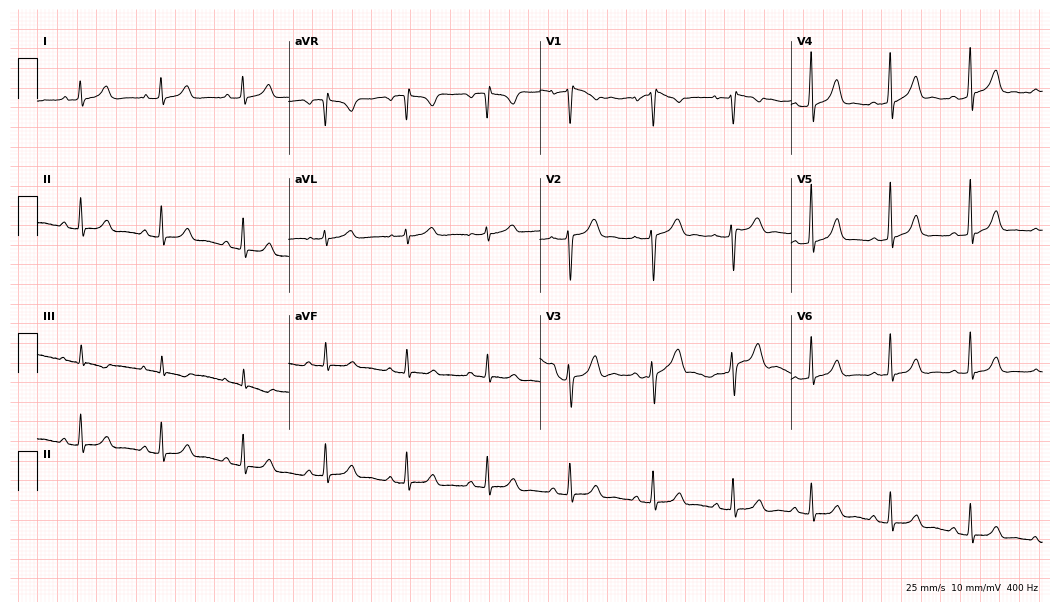
12-lead ECG from a female, 44 years old. Recorded interpretation: within normal limits.